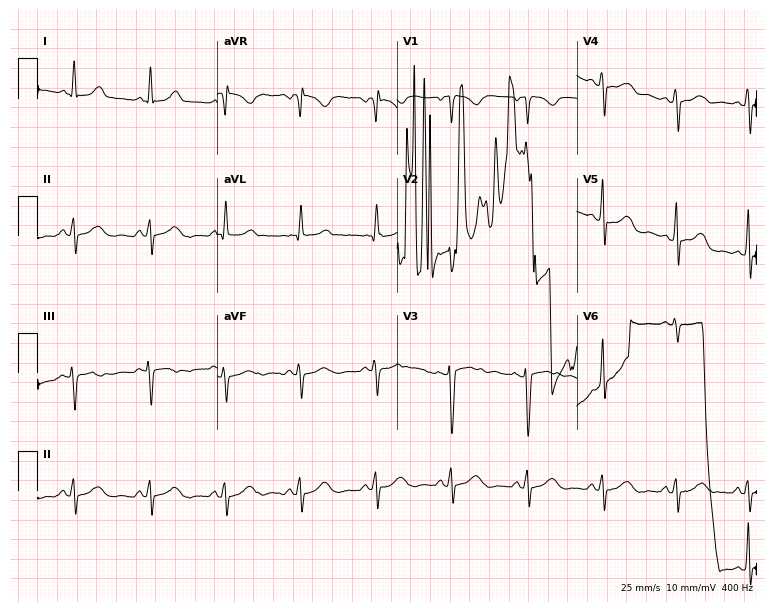
Electrocardiogram (7.3-second recording at 400 Hz), a female, 50 years old. Of the six screened findings (first-degree AV block, right bundle branch block (RBBB), left bundle branch block (LBBB), sinus bradycardia, atrial fibrillation (AF), sinus tachycardia), none is recorded.